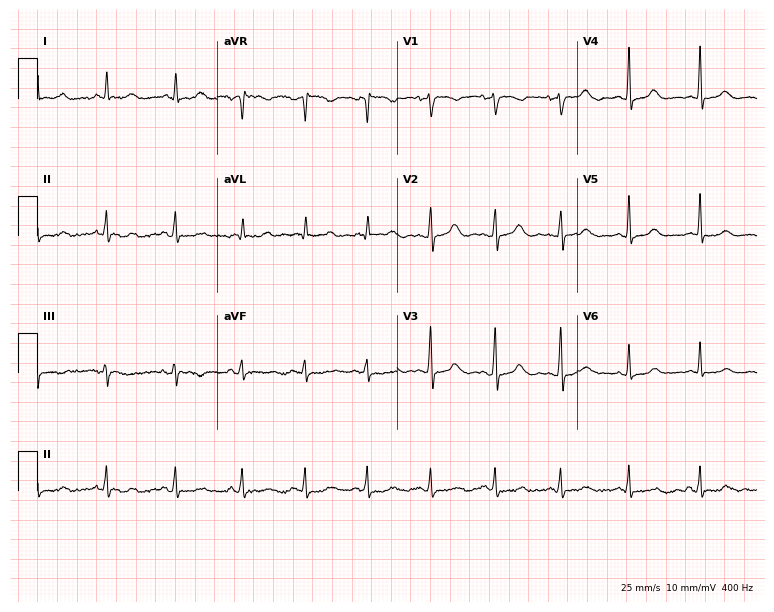
12-lead ECG (7.3-second recording at 400 Hz) from a 52-year-old female patient. Screened for six findings — first-degree AV block, right bundle branch block (RBBB), left bundle branch block (LBBB), sinus bradycardia, atrial fibrillation (AF), sinus tachycardia — none is recorded.